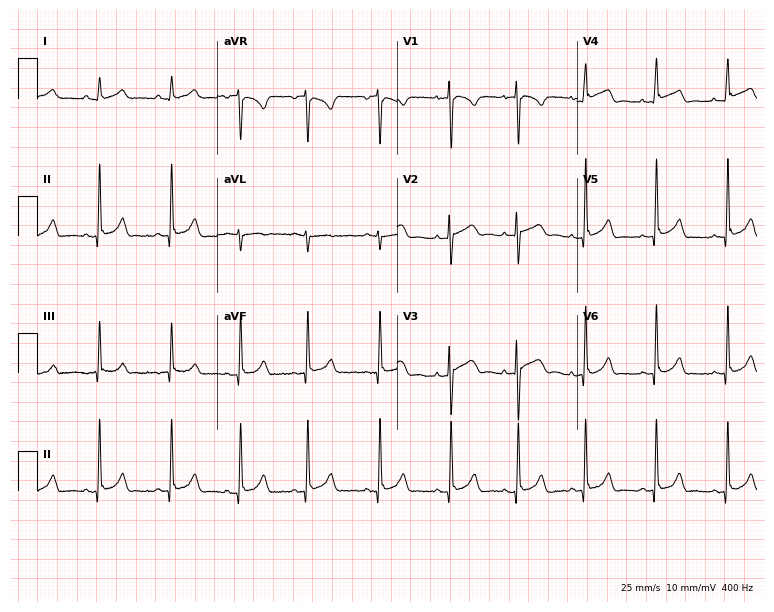
Standard 12-lead ECG recorded from a 27-year-old female (7.3-second recording at 400 Hz). Read as a normal ECG.